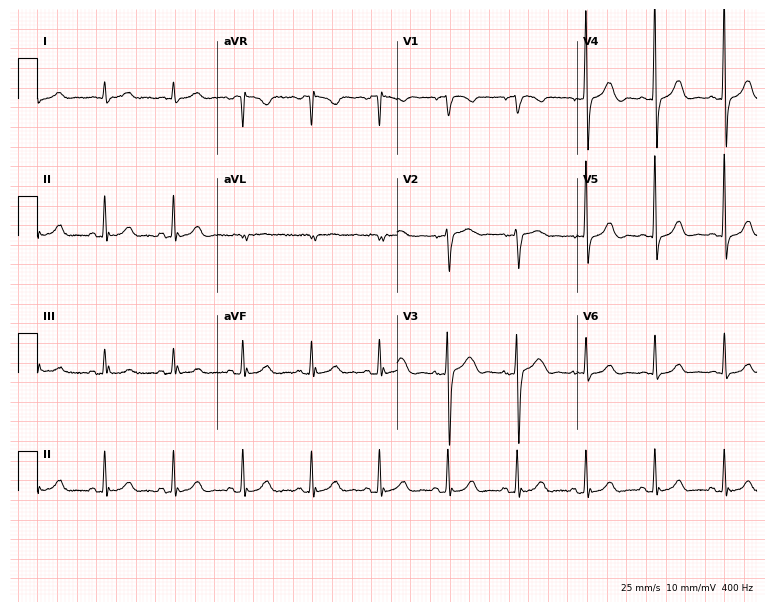
Electrocardiogram (7.3-second recording at 400 Hz), a 77-year-old female. Overall reading on record: normal ECG.